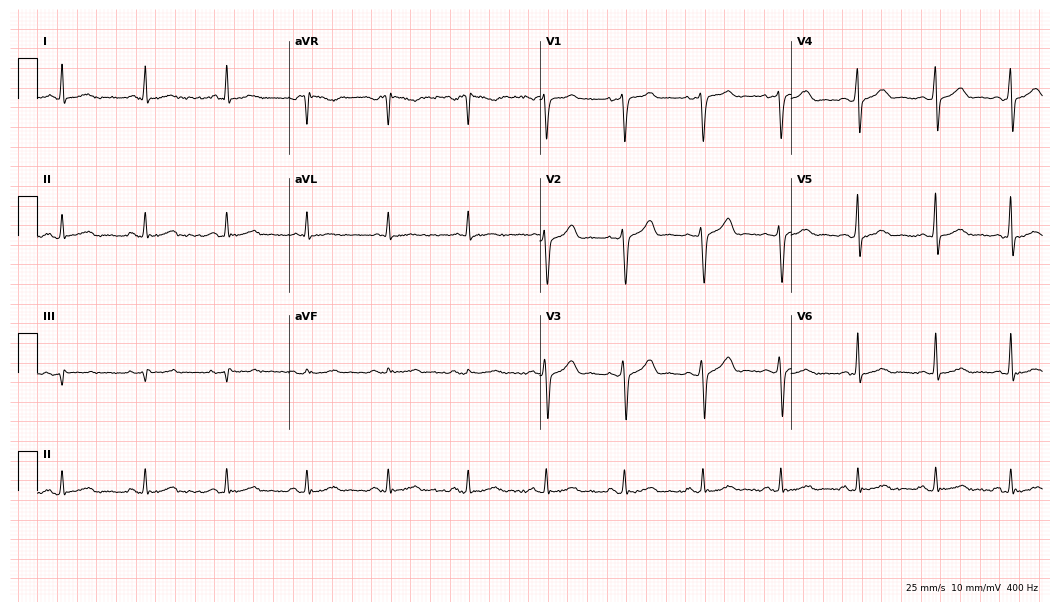
Standard 12-lead ECG recorded from a man, 54 years old. Read as a normal ECG.